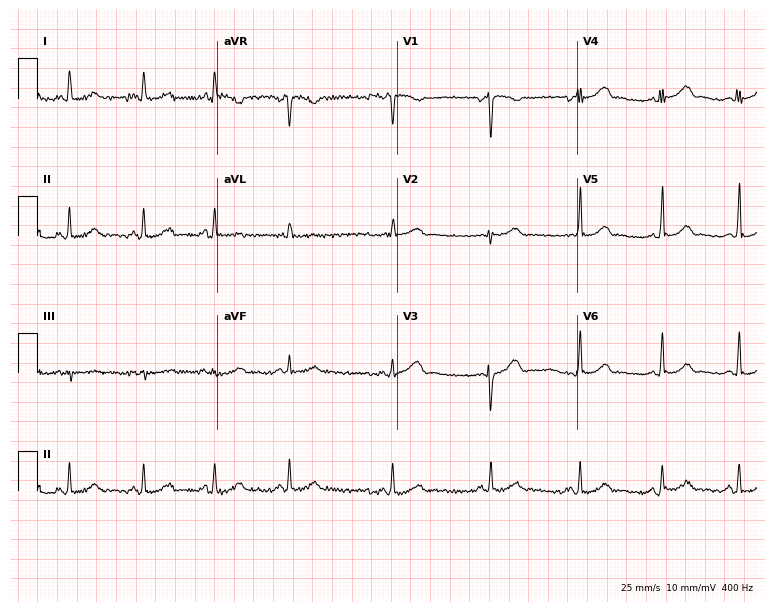
Electrocardiogram (7.3-second recording at 400 Hz), a 32-year-old female patient. Of the six screened findings (first-degree AV block, right bundle branch block (RBBB), left bundle branch block (LBBB), sinus bradycardia, atrial fibrillation (AF), sinus tachycardia), none is recorded.